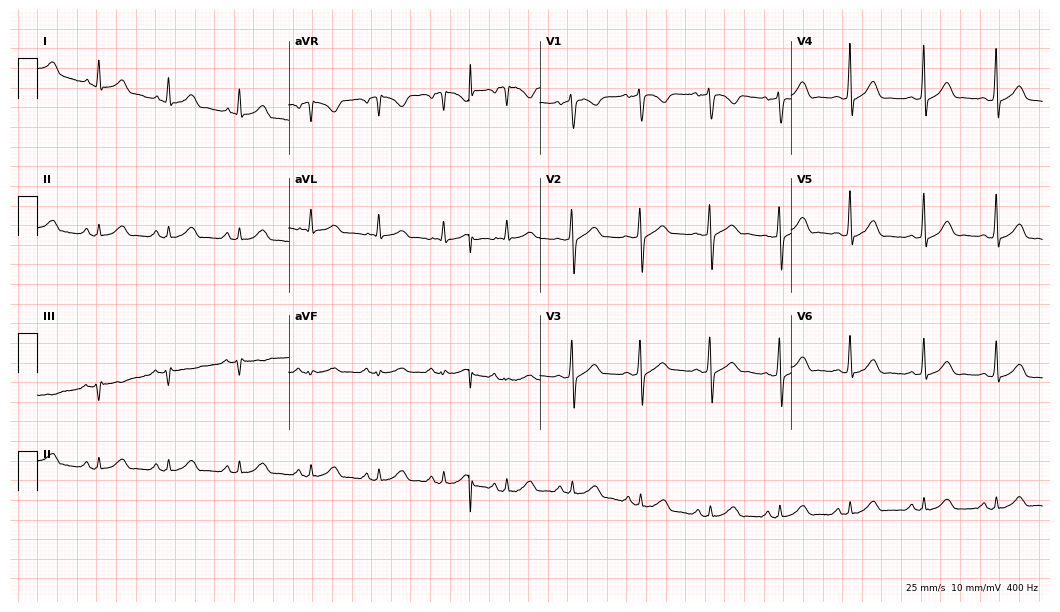
Electrocardiogram, a 28-year-old male patient. Overall reading on record: normal ECG.